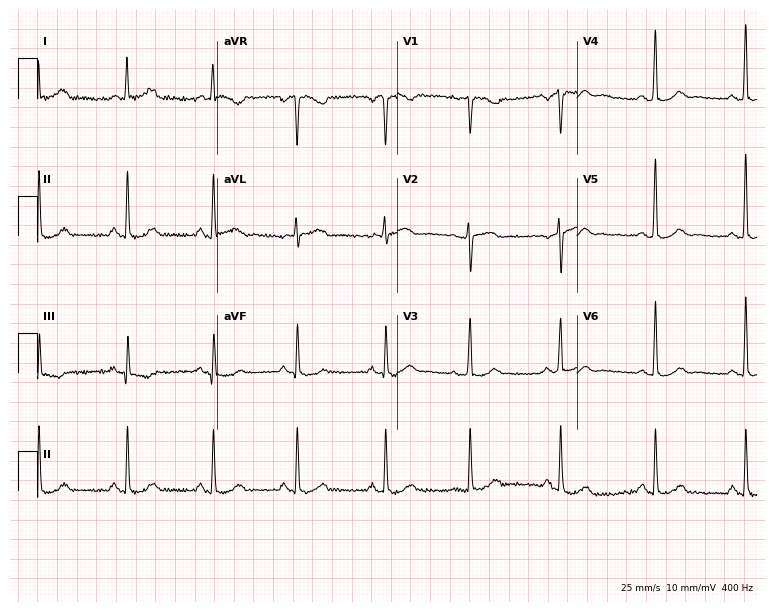
Standard 12-lead ECG recorded from a 67-year-old female patient (7.3-second recording at 400 Hz). Read as a normal ECG.